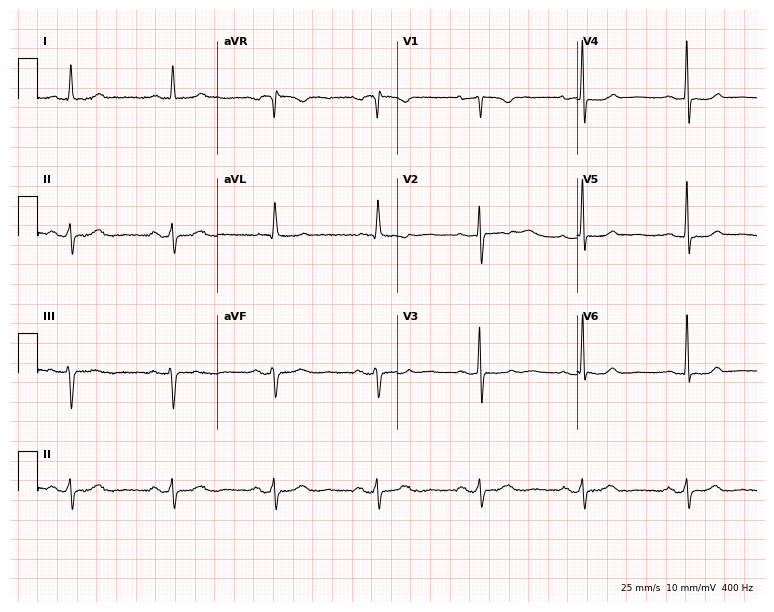
12-lead ECG from a female patient, 73 years old. Labelled as a normal ECG.